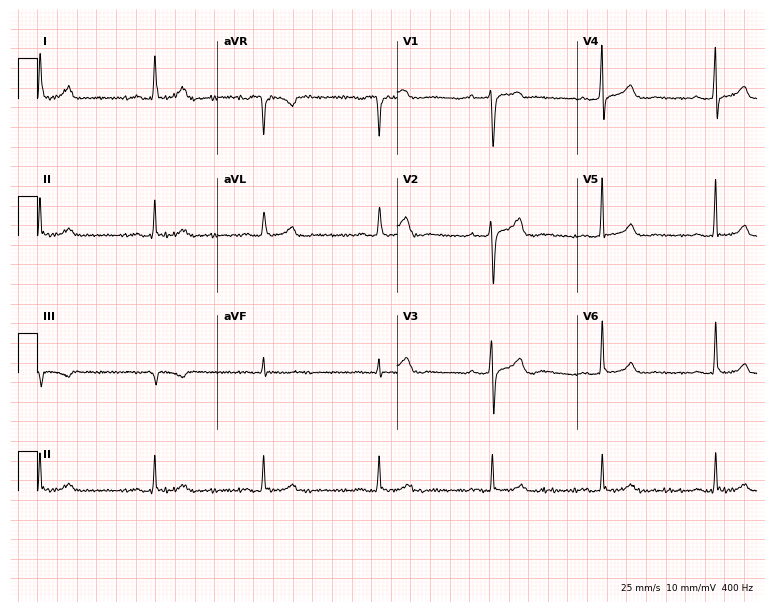
12-lead ECG from a 45-year-old man. Recorded interpretation: within normal limits.